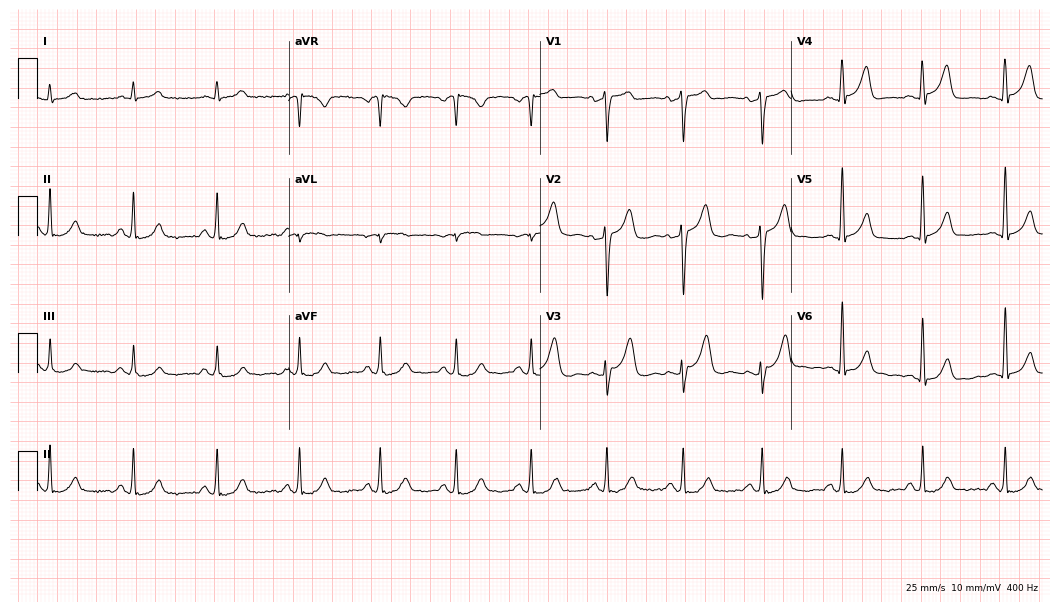
12-lead ECG (10.2-second recording at 400 Hz) from a male, 58 years old. Screened for six findings — first-degree AV block, right bundle branch block, left bundle branch block, sinus bradycardia, atrial fibrillation, sinus tachycardia — none is recorded.